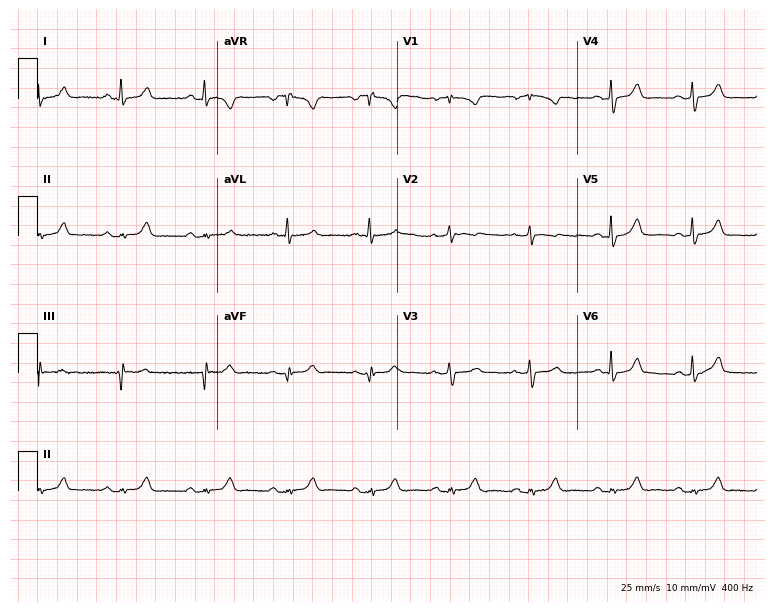
12-lead ECG from a female patient, 71 years old. Recorded interpretation: within normal limits.